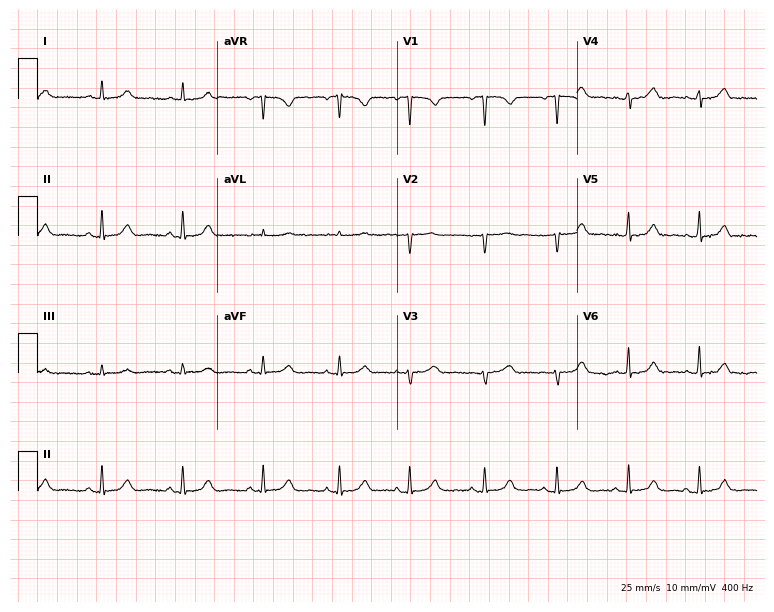
12-lead ECG (7.3-second recording at 400 Hz) from a 58-year-old female. Screened for six findings — first-degree AV block, right bundle branch block, left bundle branch block, sinus bradycardia, atrial fibrillation, sinus tachycardia — none is recorded.